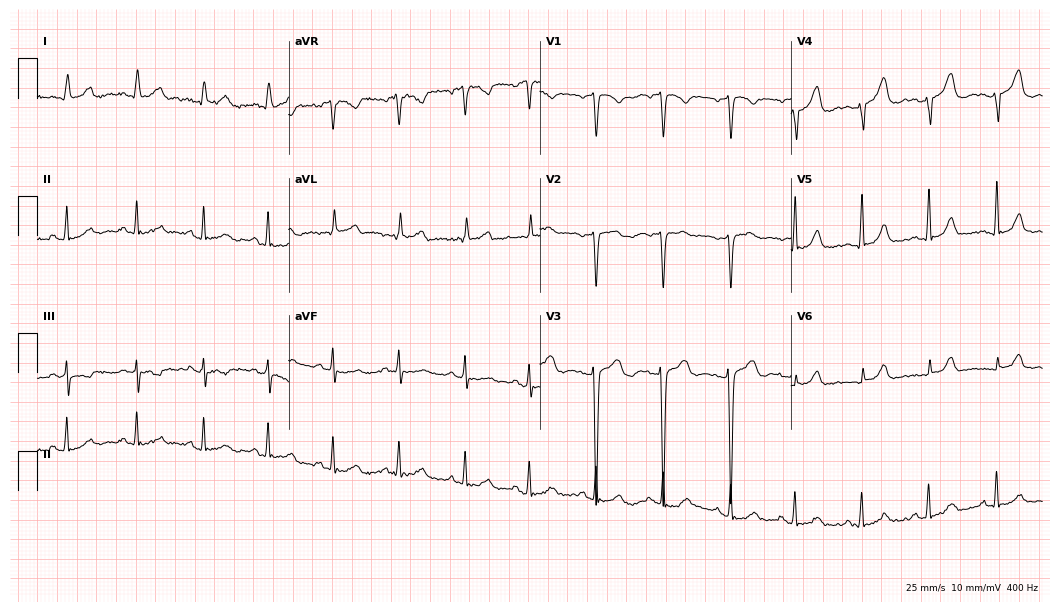
ECG (10.2-second recording at 400 Hz) — a female, 41 years old. Labelled as a normal ECG.